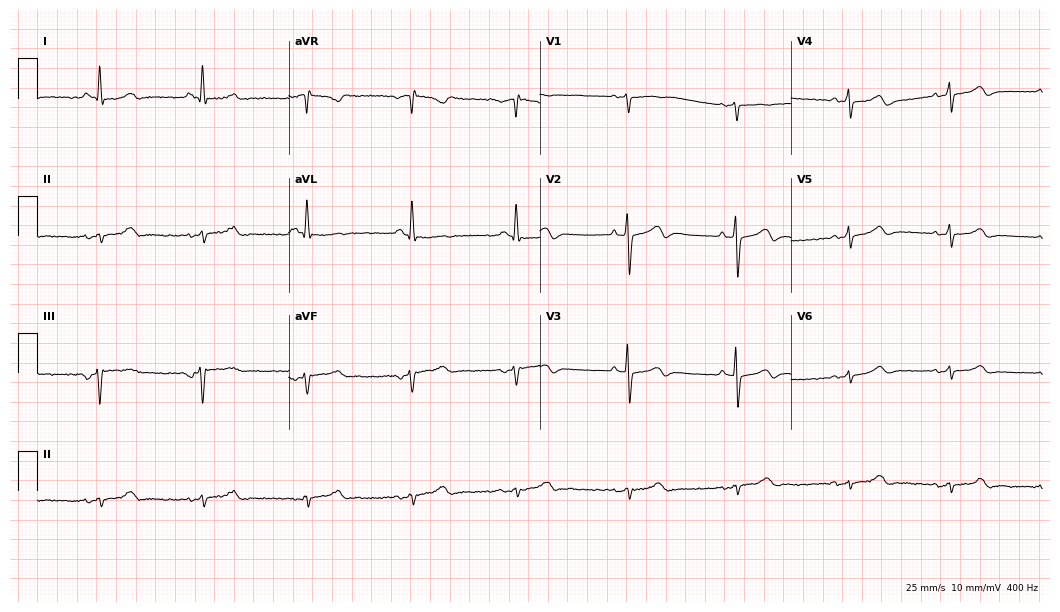
12-lead ECG from a male, 83 years old. No first-degree AV block, right bundle branch block, left bundle branch block, sinus bradycardia, atrial fibrillation or sinus tachycardia recorded for this tracing.